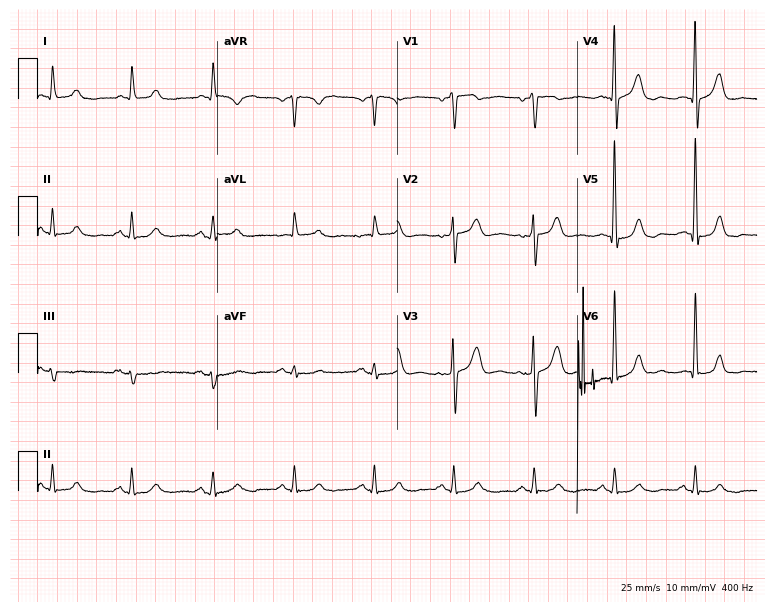
12-lead ECG from a male, 72 years old. Screened for six findings — first-degree AV block, right bundle branch block, left bundle branch block, sinus bradycardia, atrial fibrillation, sinus tachycardia — none is recorded.